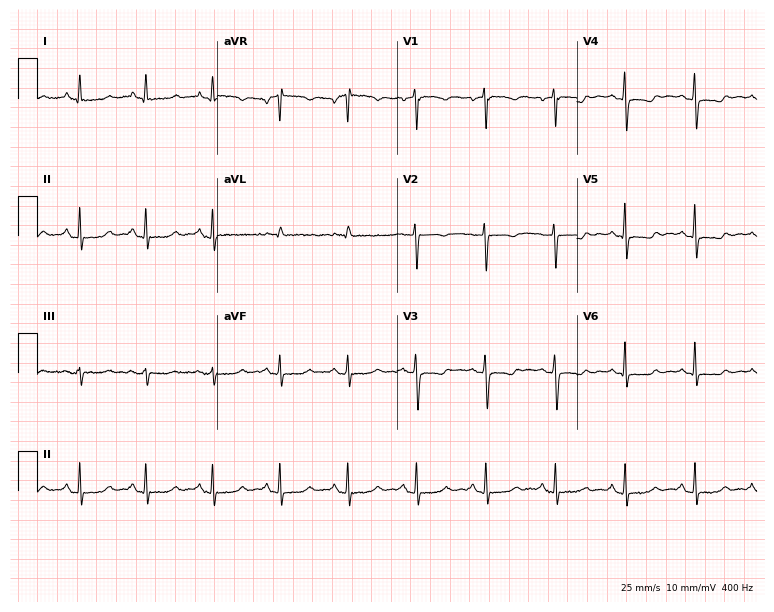
12-lead ECG from a 54-year-old woman. No first-degree AV block, right bundle branch block, left bundle branch block, sinus bradycardia, atrial fibrillation or sinus tachycardia recorded for this tracing. Other findings, if any, are not listed.